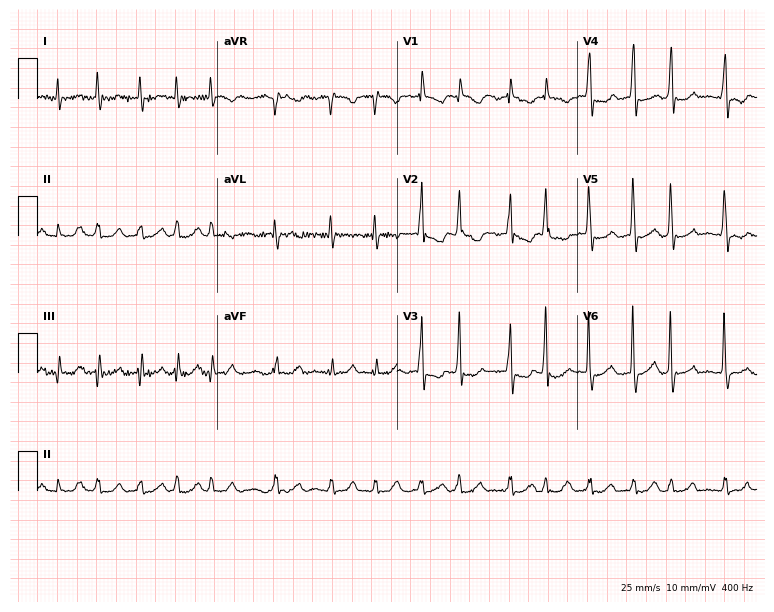
Electrocardiogram, a female patient, 64 years old. Interpretation includes atrial fibrillation.